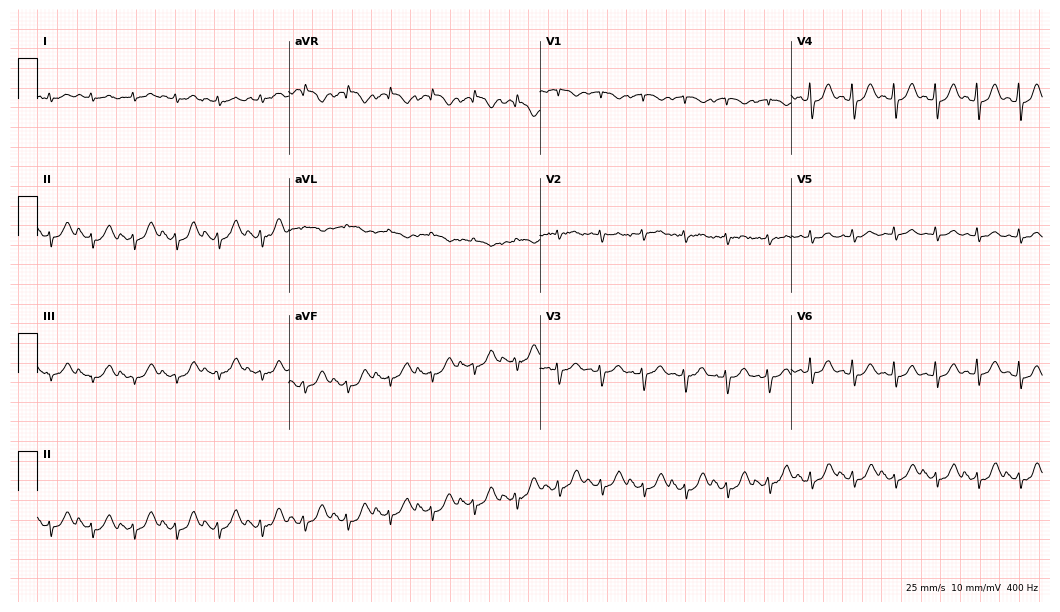
Resting 12-lead electrocardiogram. Patient: a 77-year-old male. The tracing shows sinus tachycardia (a sinus rate of 100 beats per minute or more).